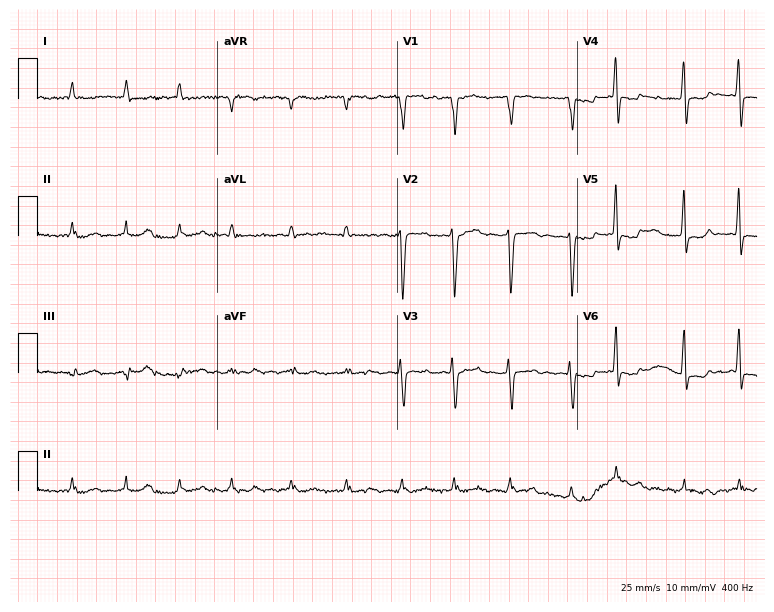
Standard 12-lead ECG recorded from a male, 69 years old (7.3-second recording at 400 Hz). The tracing shows atrial fibrillation.